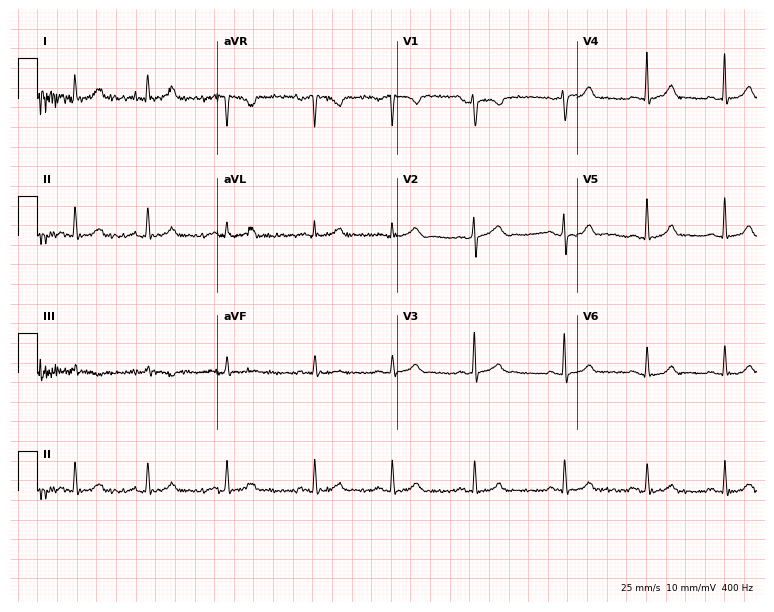
Electrocardiogram (7.3-second recording at 400 Hz), a female patient, 25 years old. Overall reading on record: normal ECG.